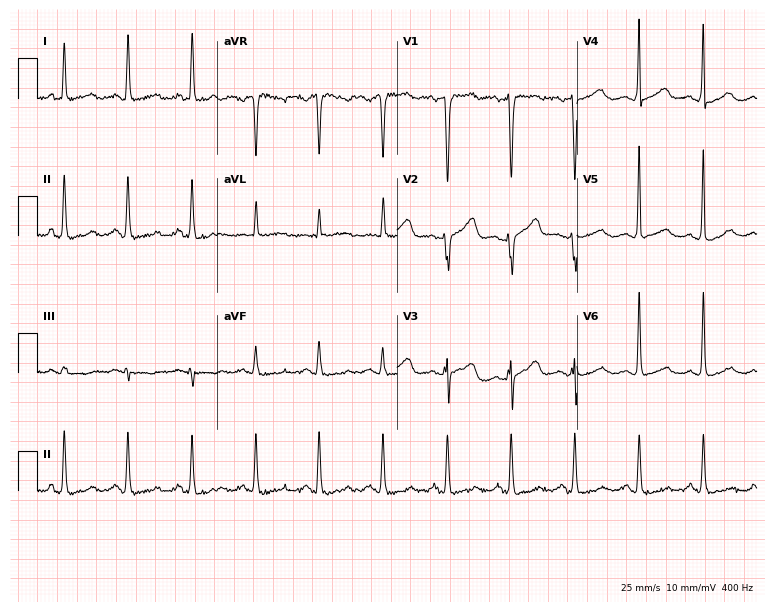
ECG — a 66-year-old woman. Screened for six findings — first-degree AV block, right bundle branch block (RBBB), left bundle branch block (LBBB), sinus bradycardia, atrial fibrillation (AF), sinus tachycardia — none is recorded.